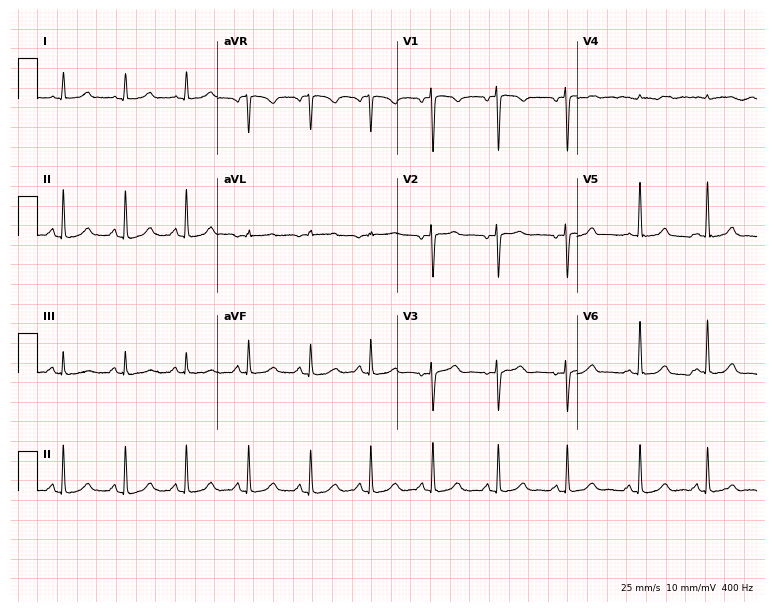
Resting 12-lead electrocardiogram. Patient: a woman, 22 years old. Read as a normal ECG.